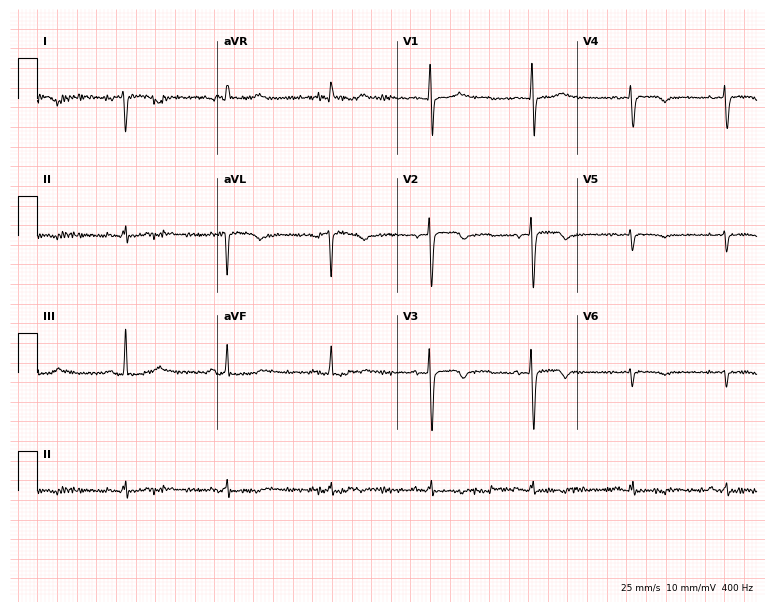
ECG (7.3-second recording at 400 Hz) — a woman, 74 years old. Screened for six findings — first-degree AV block, right bundle branch block (RBBB), left bundle branch block (LBBB), sinus bradycardia, atrial fibrillation (AF), sinus tachycardia — none is recorded. Other findings, if any, are not listed.